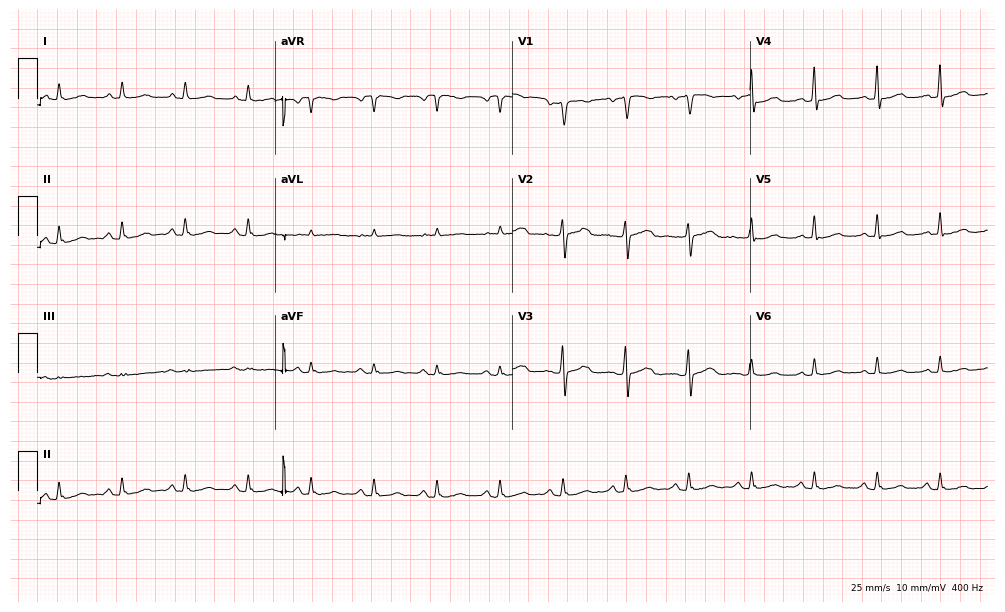
12-lead ECG from a 56-year-old woman. Recorded interpretation: within normal limits.